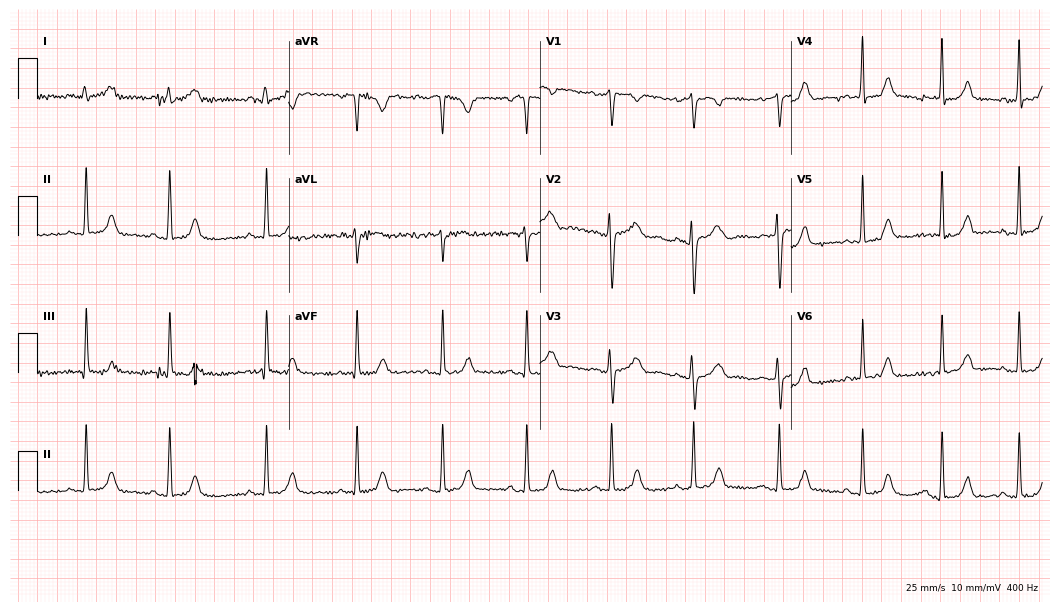
12-lead ECG (10.2-second recording at 400 Hz) from a 26-year-old female patient. Labelled as a normal ECG.